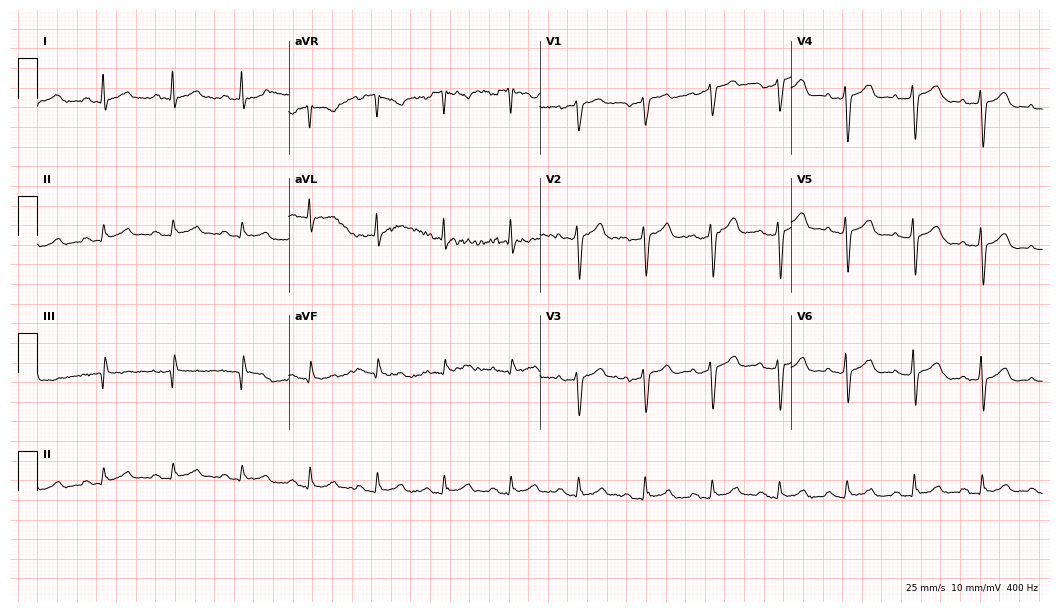
Resting 12-lead electrocardiogram. Patient: a female, 55 years old. None of these six findings is recorded: first-degree AV block, right bundle branch block (RBBB), left bundle branch block (LBBB), sinus bradycardia, atrial fibrillation (AF), sinus tachycardia. Findings outside these six are not listed.